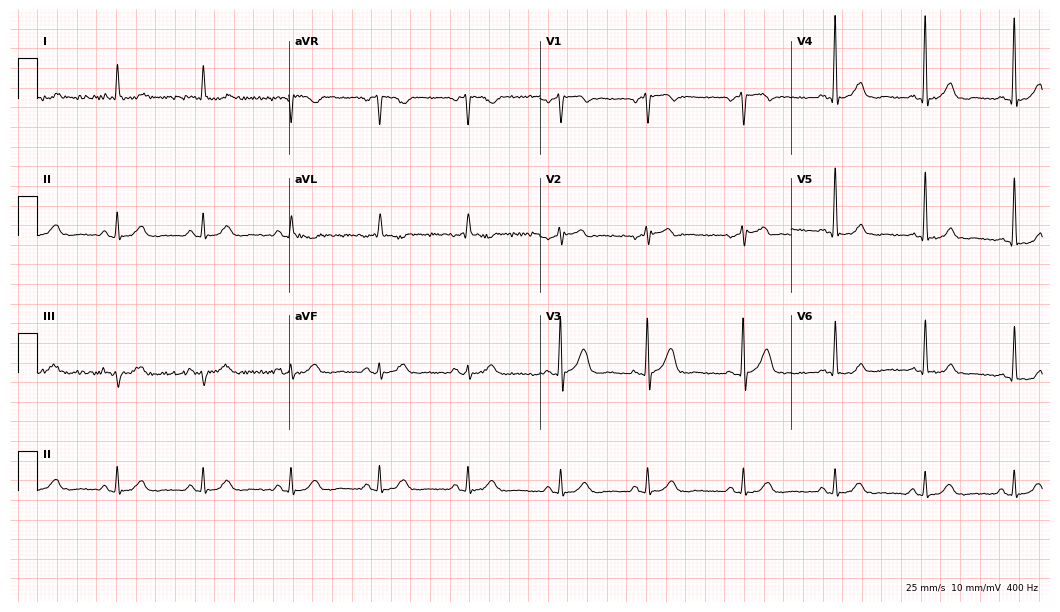
Standard 12-lead ECG recorded from a 79-year-old male (10.2-second recording at 400 Hz). Read as a normal ECG.